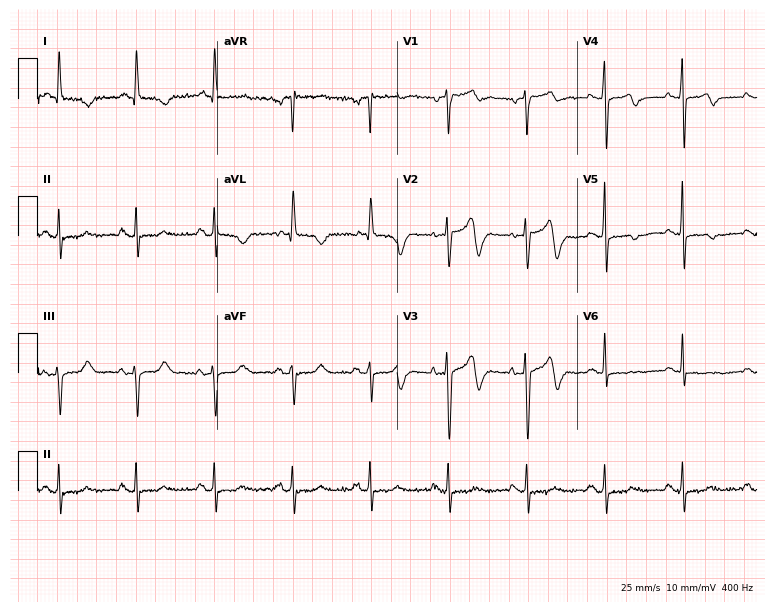
Electrocardiogram (7.3-second recording at 400 Hz), a female patient, 72 years old. Of the six screened findings (first-degree AV block, right bundle branch block, left bundle branch block, sinus bradycardia, atrial fibrillation, sinus tachycardia), none is recorded.